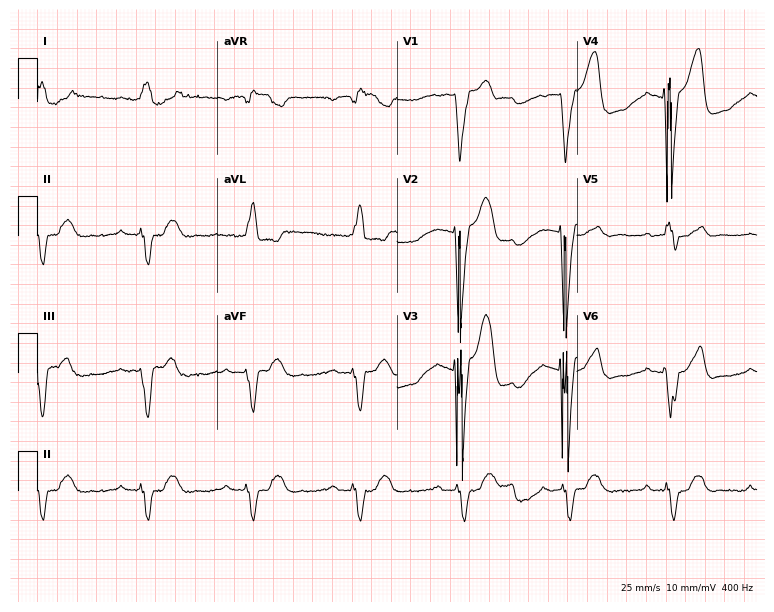
Resting 12-lead electrocardiogram (7.3-second recording at 400 Hz). Patient: a 70-year-old male. The tracing shows left bundle branch block.